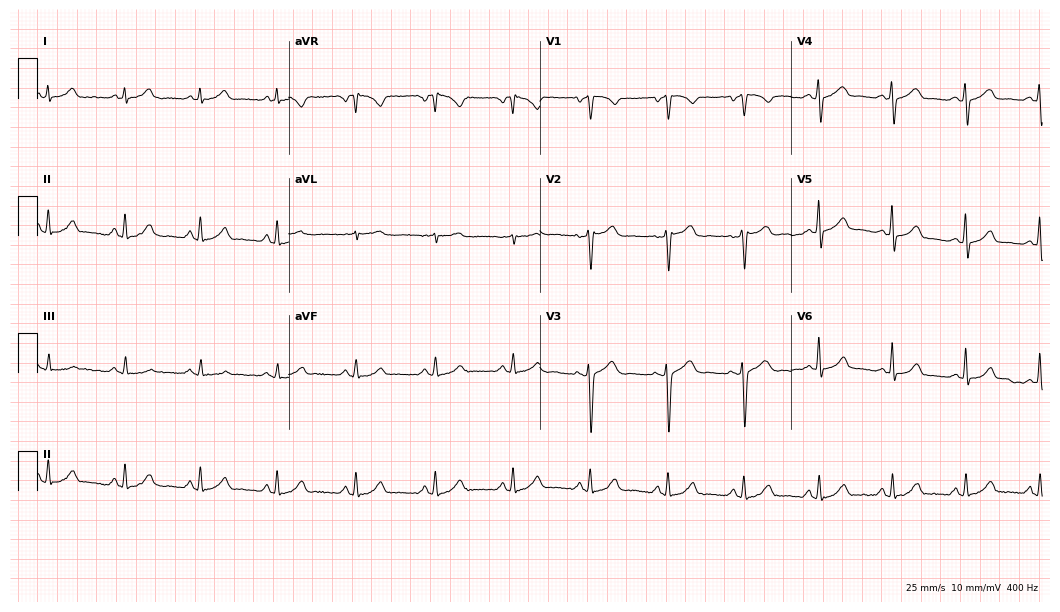
ECG (10.2-second recording at 400 Hz) — a 40-year-old female patient. Labelled as a normal ECG.